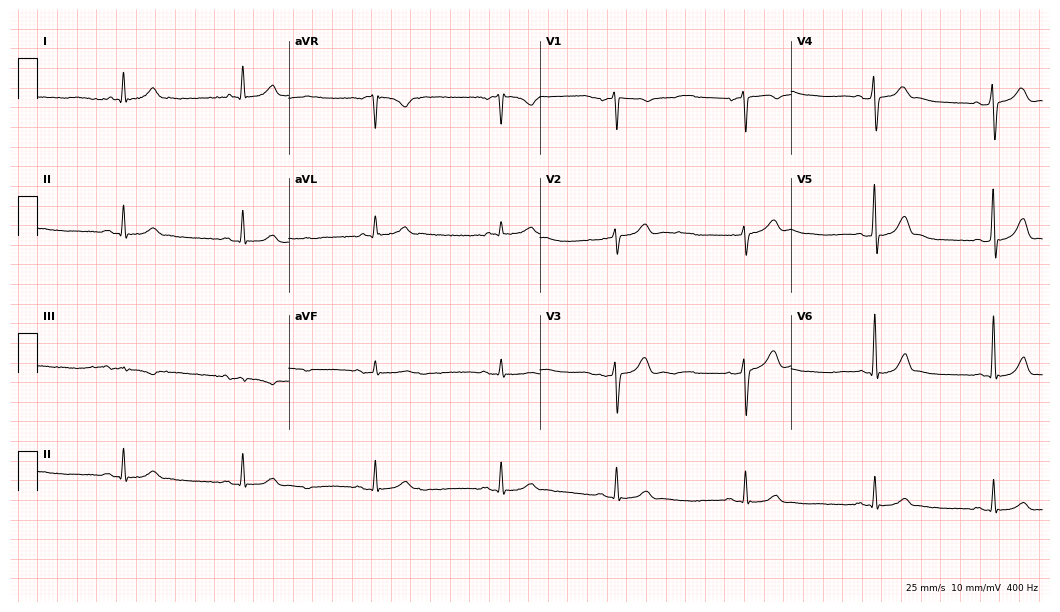
Resting 12-lead electrocardiogram (10.2-second recording at 400 Hz). Patient: a 55-year-old man. Read as a normal ECG.